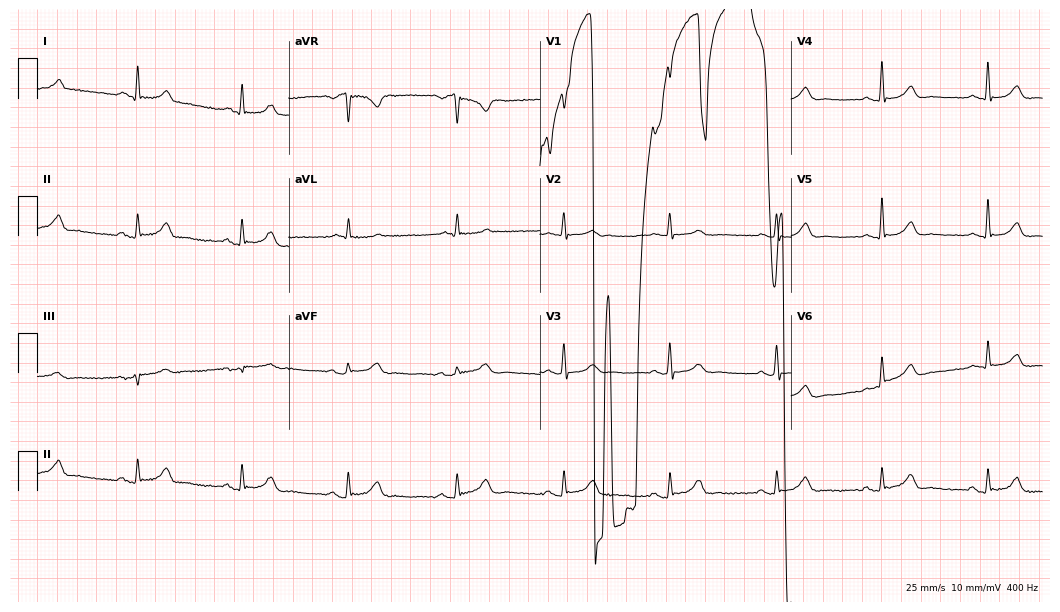
Standard 12-lead ECG recorded from a 78-year-old woman (10.2-second recording at 400 Hz). None of these six findings is recorded: first-degree AV block, right bundle branch block, left bundle branch block, sinus bradycardia, atrial fibrillation, sinus tachycardia.